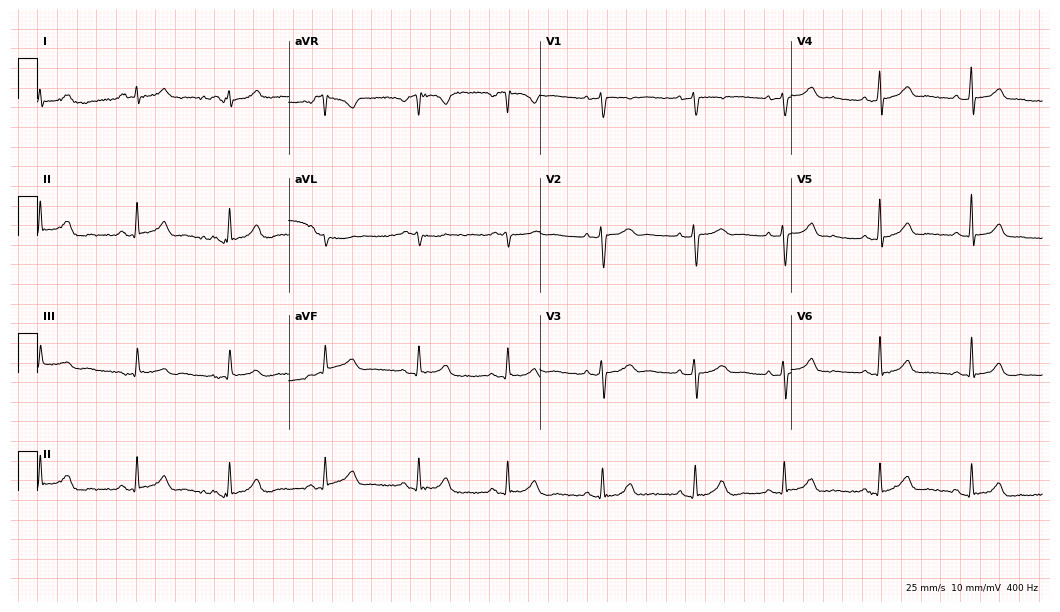
ECG — a woman, 57 years old. Labelled as a normal ECG.